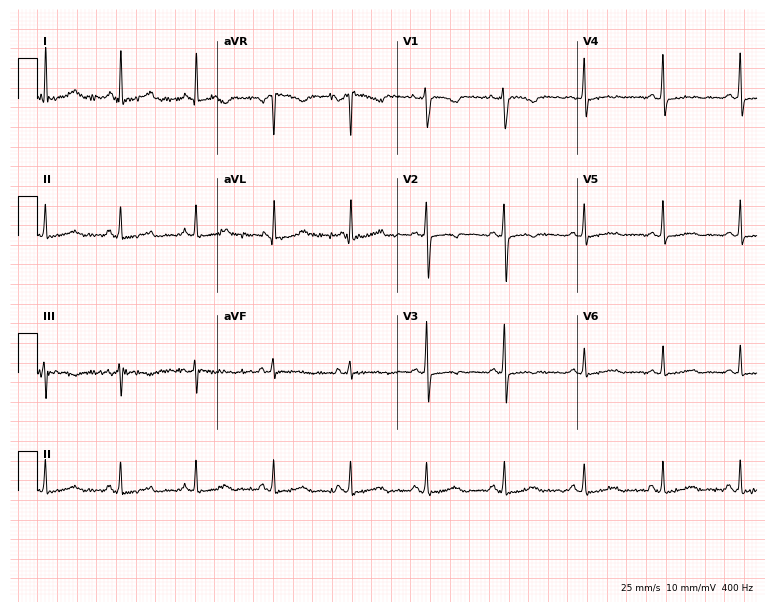
12-lead ECG from a 44-year-old woman (7.3-second recording at 400 Hz). No first-degree AV block, right bundle branch block (RBBB), left bundle branch block (LBBB), sinus bradycardia, atrial fibrillation (AF) or sinus tachycardia recorded for this tracing. Findings outside these six are not listed.